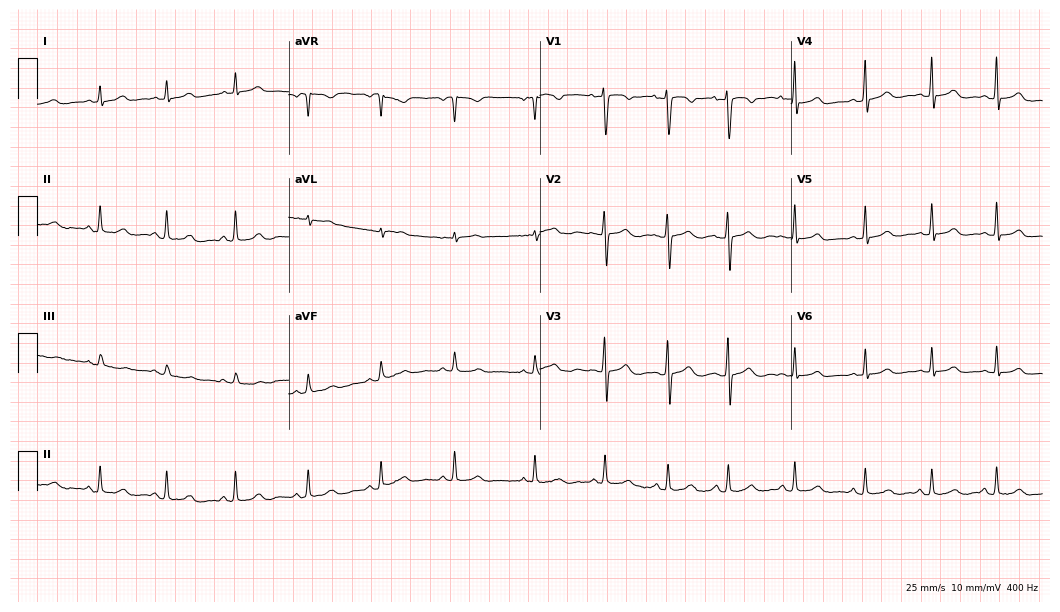
Electrocardiogram, a 19-year-old woman. Overall reading on record: normal ECG.